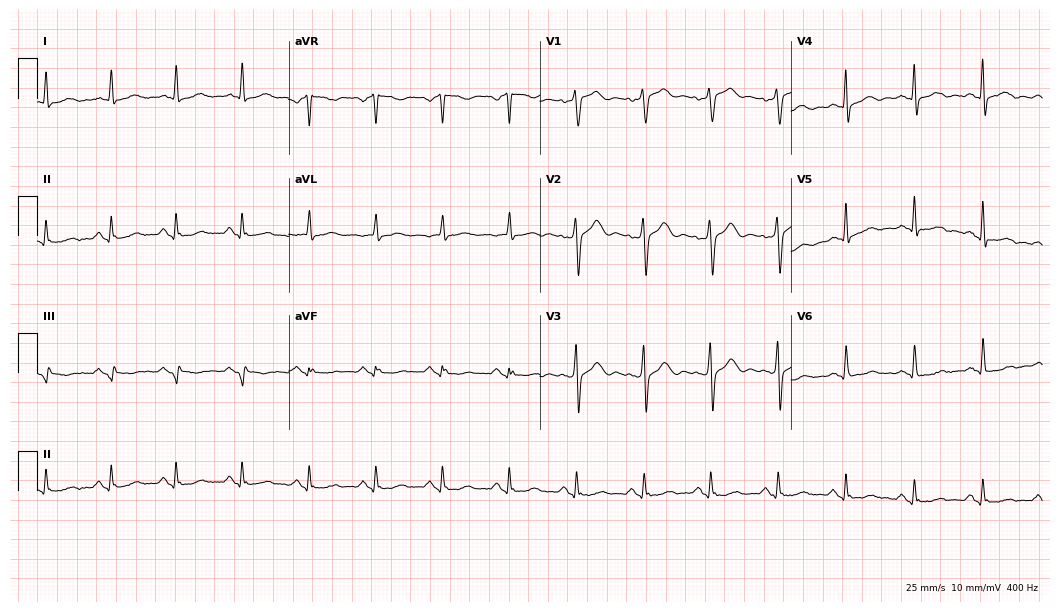
ECG — a male, 60 years old. Labelled as a normal ECG.